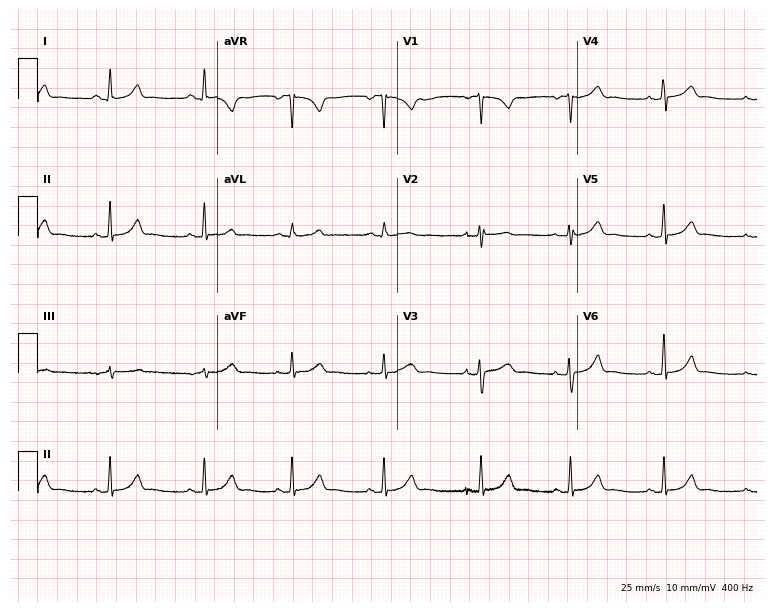
Resting 12-lead electrocardiogram (7.3-second recording at 400 Hz). Patient: a woman, 28 years old. None of these six findings is recorded: first-degree AV block, right bundle branch block, left bundle branch block, sinus bradycardia, atrial fibrillation, sinus tachycardia.